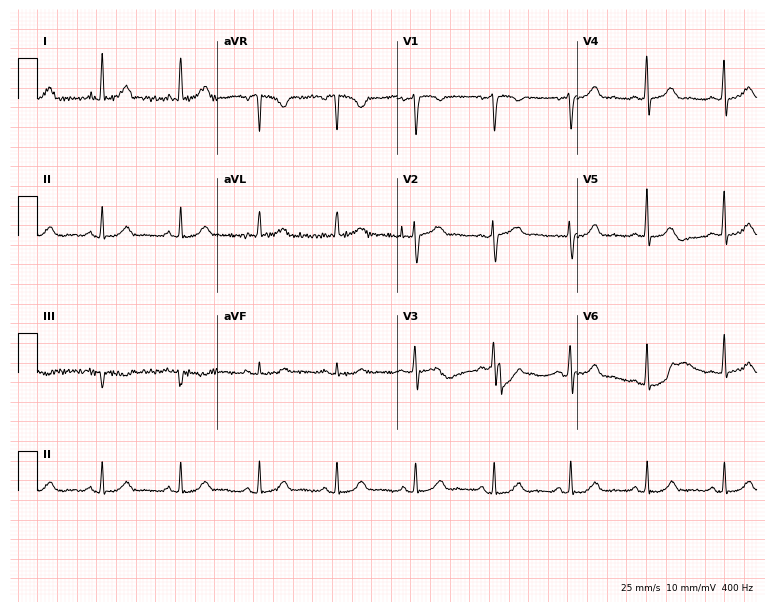
Standard 12-lead ECG recorded from a woman, 49 years old (7.3-second recording at 400 Hz). Read as a normal ECG.